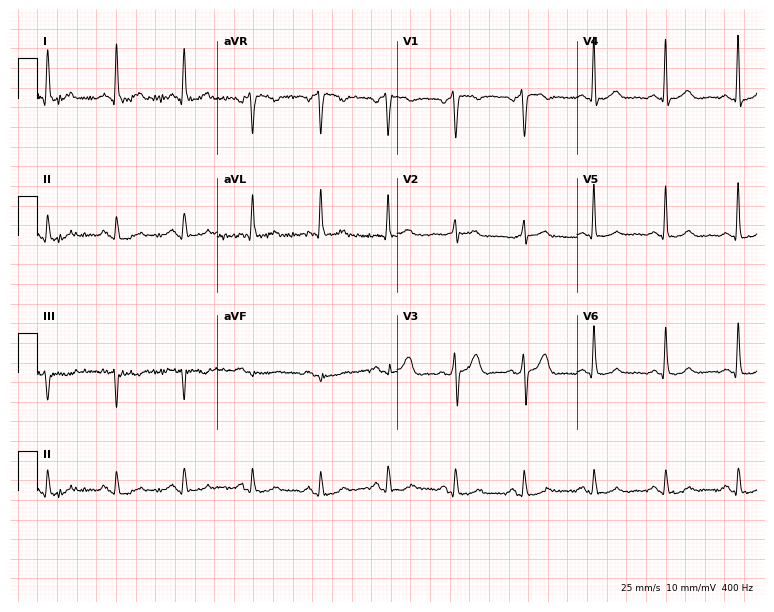
Electrocardiogram, a 55-year-old man. Of the six screened findings (first-degree AV block, right bundle branch block, left bundle branch block, sinus bradycardia, atrial fibrillation, sinus tachycardia), none is recorded. Only these six findings were labelled.